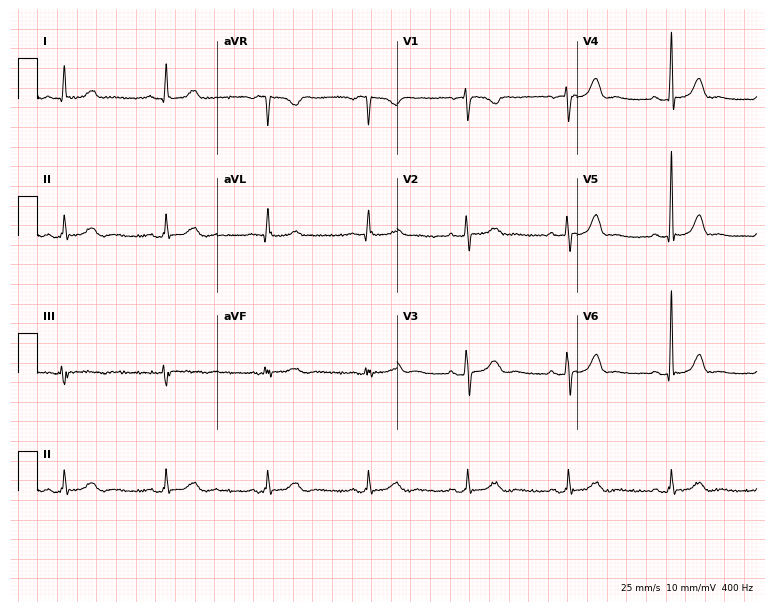
Electrocardiogram (7.3-second recording at 400 Hz), a female patient, 55 years old. Overall reading on record: normal ECG.